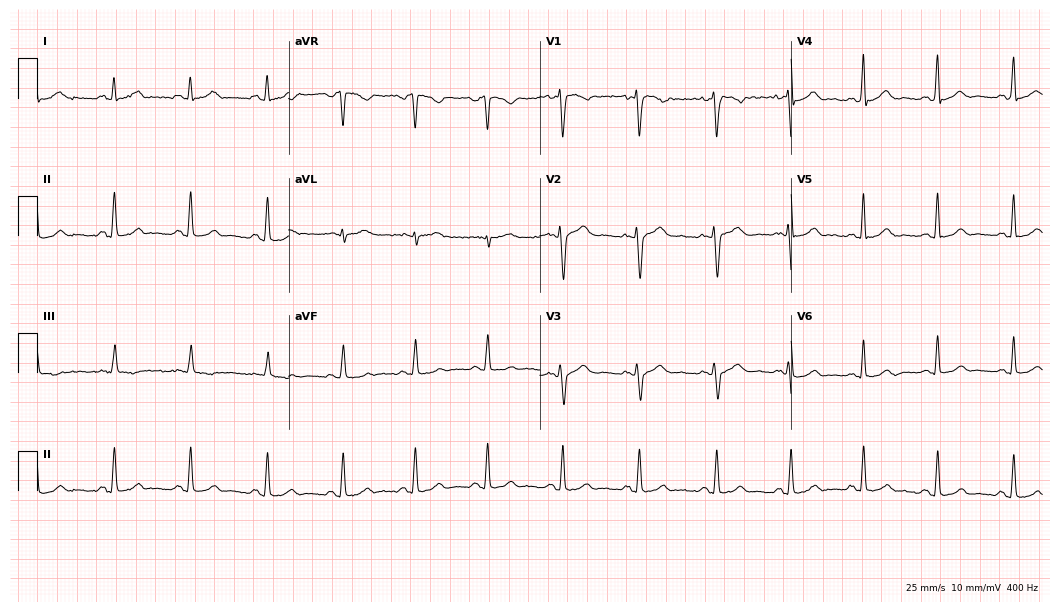
12-lead ECG from a female patient, 42 years old (10.2-second recording at 400 Hz). No first-degree AV block, right bundle branch block (RBBB), left bundle branch block (LBBB), sinus bradycardia, atrial fibrillation (AF) or sinus tachycardia recorded for this tracing.